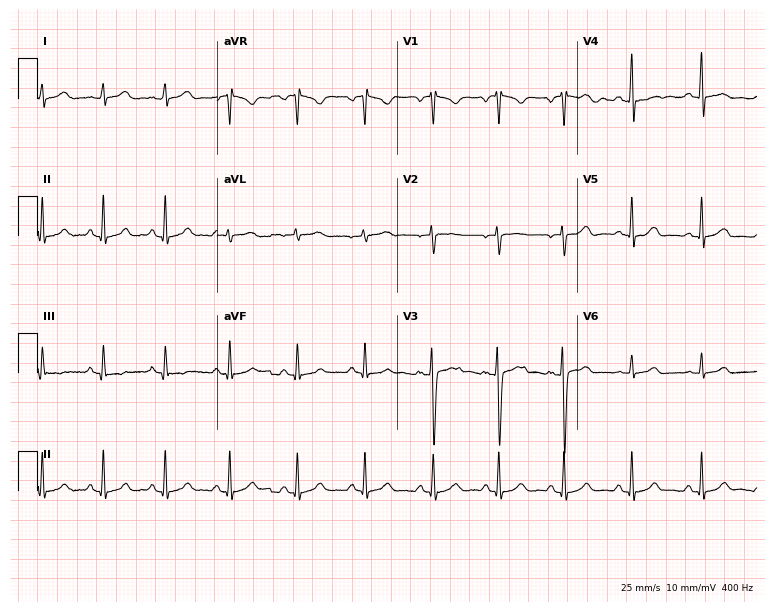
Resting 12-lead electrocardiogram. Patient: a female, 21 years old. None of these six findings is recorded: first-degree AV block, right bundle branch block, left bundle branch block, sinus bradycardia, atrial fibrillation, sinus tachycardia. Other findings, if any, are not listed.